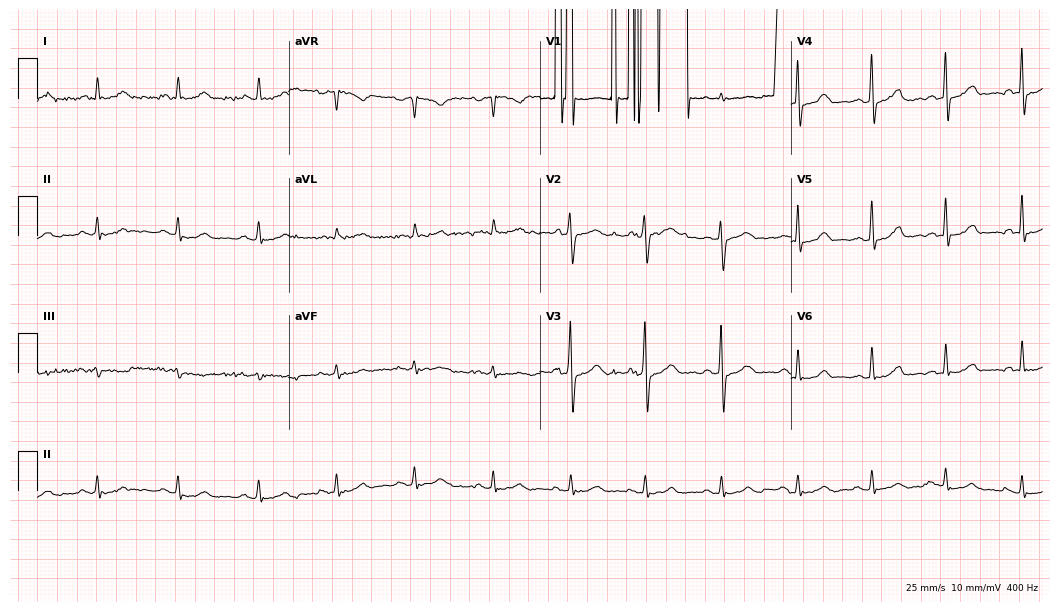
12-lead ECG from a man, 57 years old. Screened for six findings — first-degree AV block, right bundle branch block, left bundle branch block, sinus bradycardia, atrial fibrillation, sinus tachycardia — none is recorded.